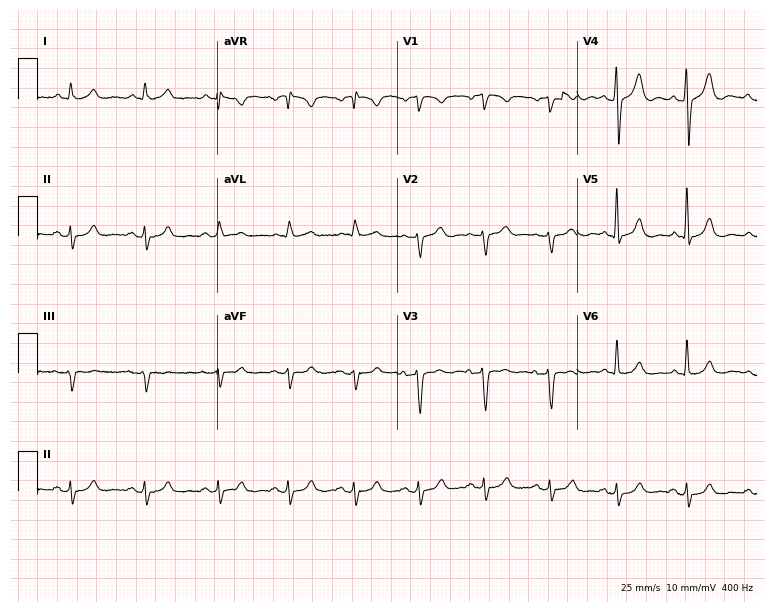
ECG (7.3-second recording at 400 Hz) — a 67-year-old male patient. Screened for six findings — first-degree AV block, right bundle branch block, left bundle branch block, sinus bradycardia, atrial fibrillation, sinus tachycardia — none is recorded.